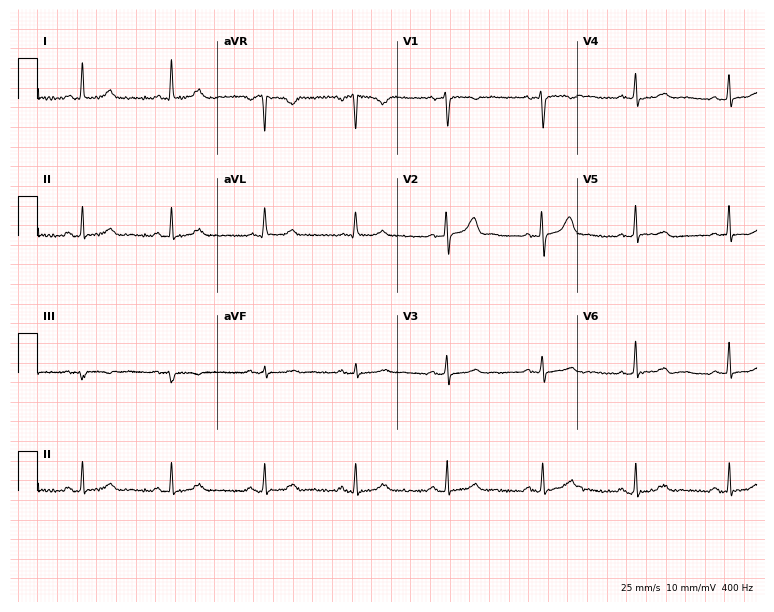
Standard 12-lead ECG recorded from a 73-year-old female (7.3-second recording at 400 Hz). None of these six findings is recorded: first-degree AV block, right bundle branch block (RBBB), left bundle branch block (LBBB), sinus bradycardia, atrial fibrillation (AF), sinus tachycardia. Findings outside these six are not listed.